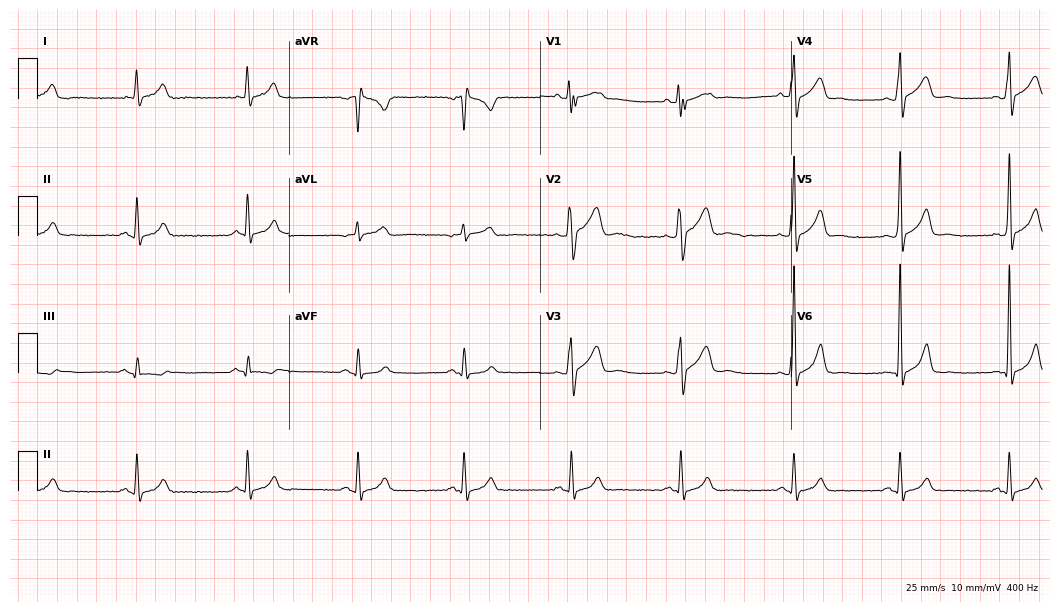
Electrocardiogram (10.2-second recording at 400 Hz), a male, 37 years old. Of the six screened findings (first-degree AV block, right bundle branch block (RBBB), left bundle branch block (LBBB), sinus bradycardia, atrial fibrillation (AF), sinus tachycardia), none is recorded.